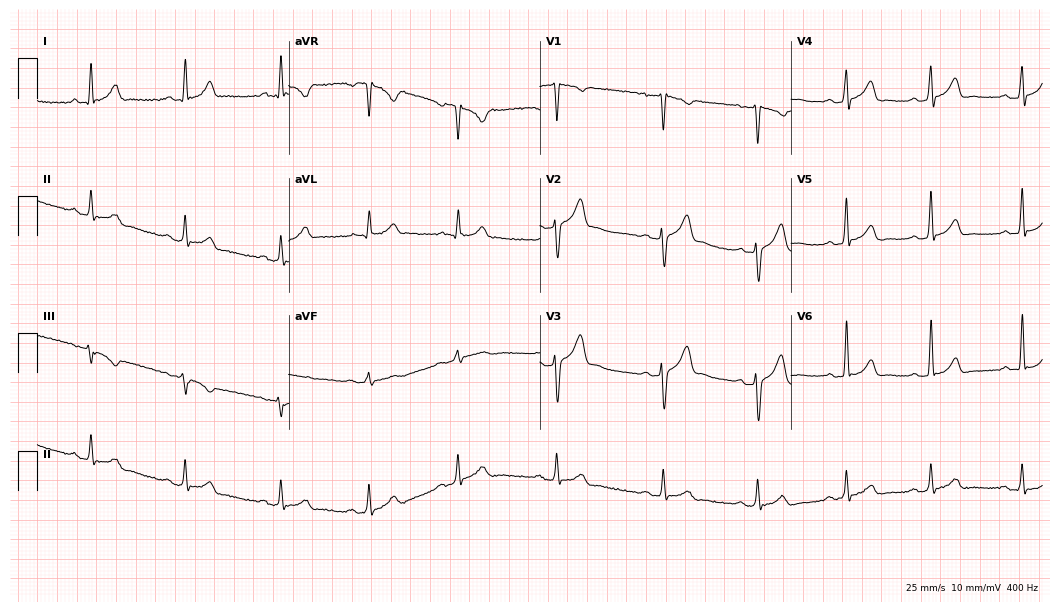
ECG — a 29-year-old male. Labelled as a normal ECG.